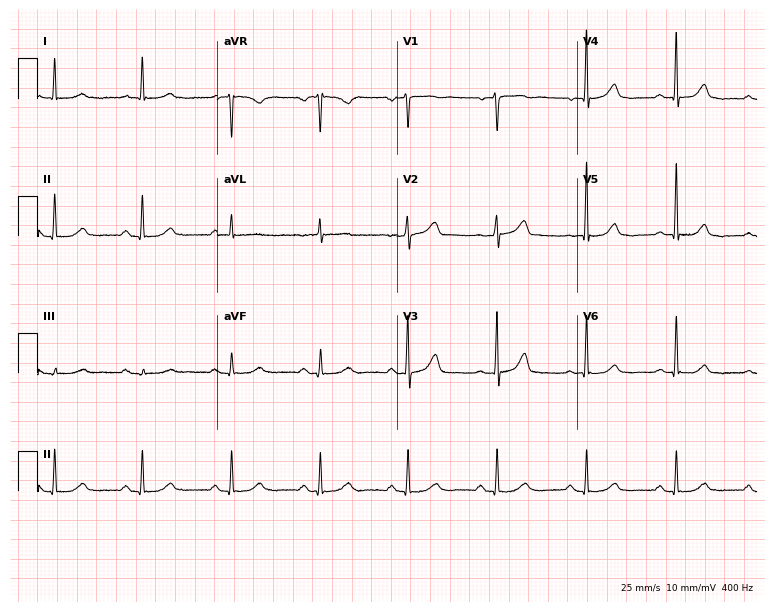
Electrocardiogram (7.3-second recording at 400 Hz), a 79-year-old woman. Of the six screened findings (first-degree AV block, right bundle branch block, left bundle branch block, sinus bradycardia, atrial fibrillation, sinus tachycardia), none is recorded. Findings outside these six are not listed.